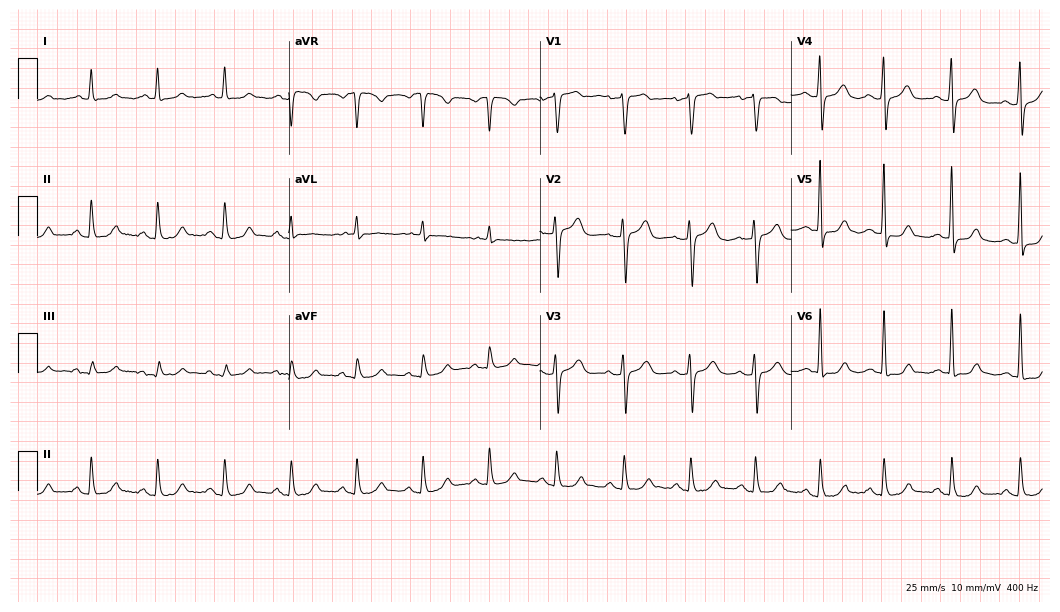
Resting 12-lead electrocardiogram (10.2-second recording at 400 Hz). Patient: a 54-year-old female. Read as a normal ECG.